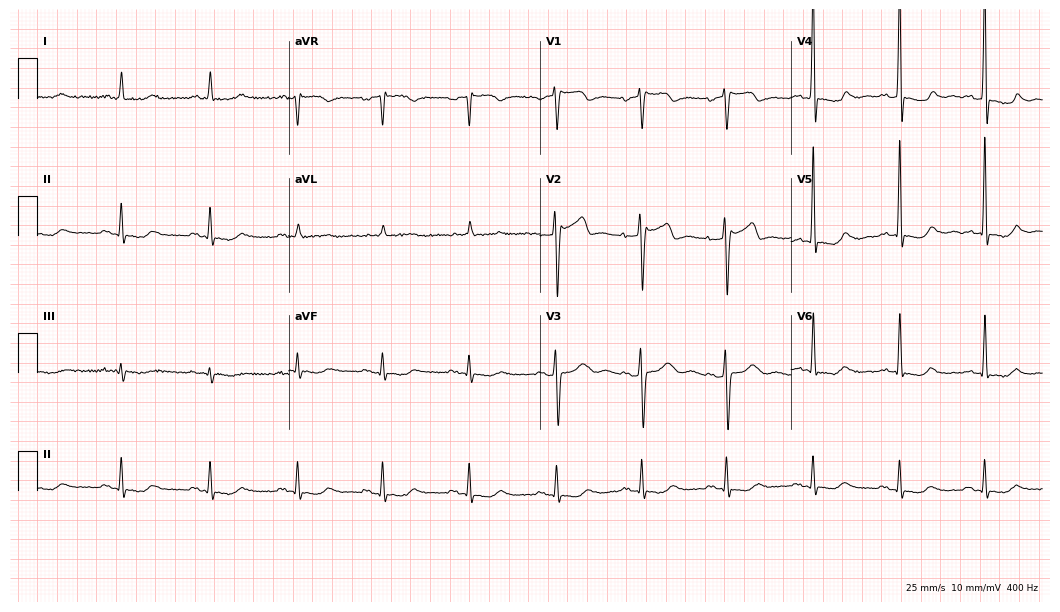
12-lead ECG from a male, 64 years old. Screened for six findings — first-degree AV block, right bundle branch block, left bundle branch block, sinus bradycardia, atrial fibrillation, sinus tachycardia — none is recorded. Findings outside these six are not listed.